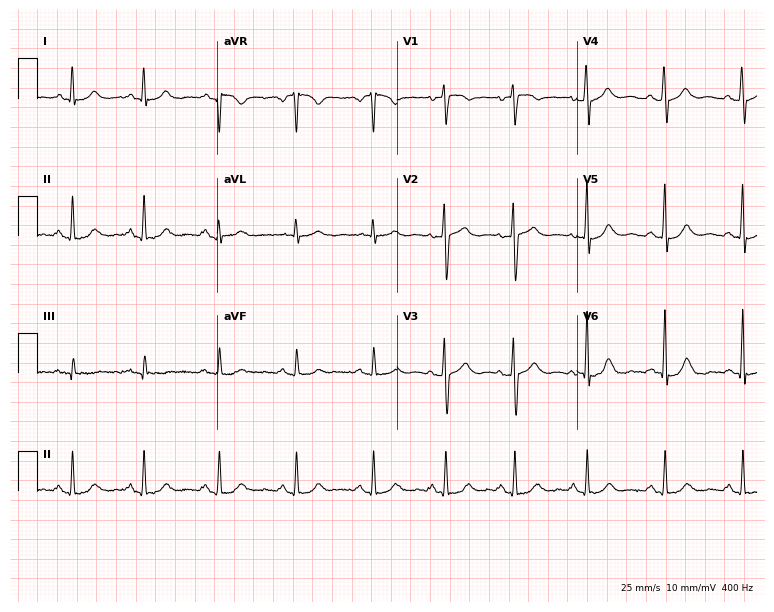
12-lead ECG from a 59-year-old female patient. Labelled as a normal ECG.